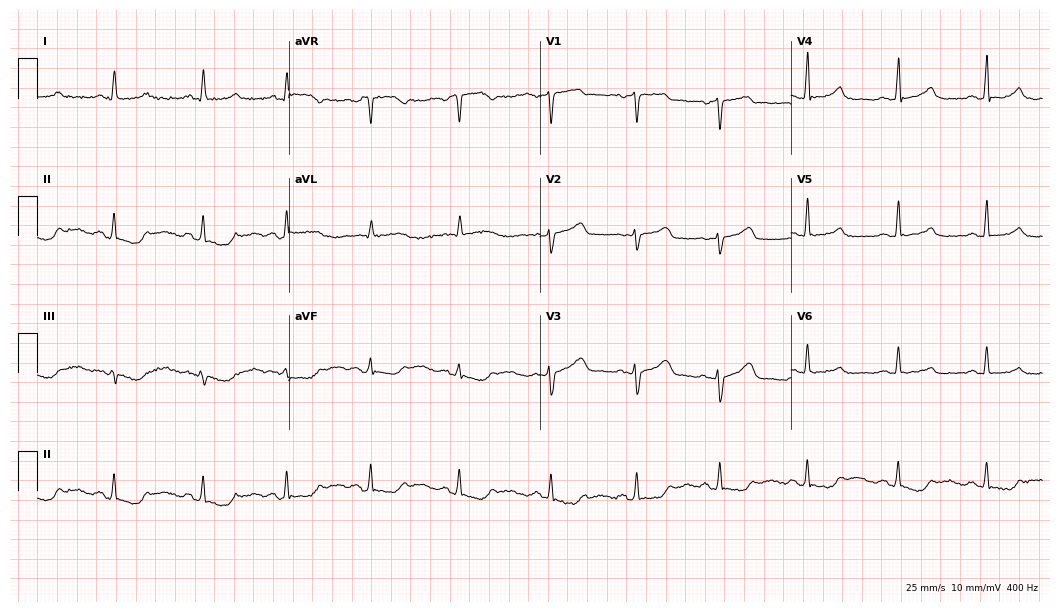
Electrocardiogram, a 51-year-old female. Of the six screened findings (first-degree AV block, right bundle branch block, left bundle branch block, sinus bradycardia, atrial fibrillation, sinus tachycardia), none is recorded.